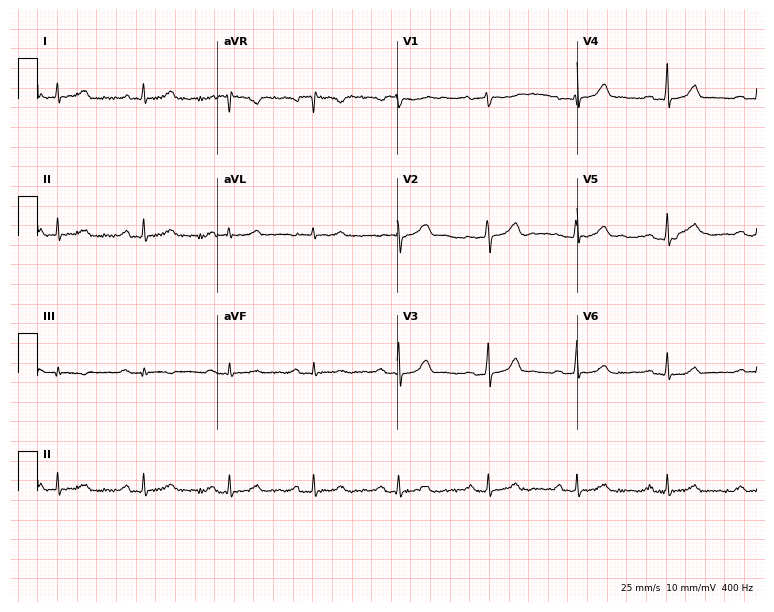
Resting 12-lead electrocardiogram (7.3-second recording at 400 Hz). Patient: a 39-year-old female. Read as a normal ECG.